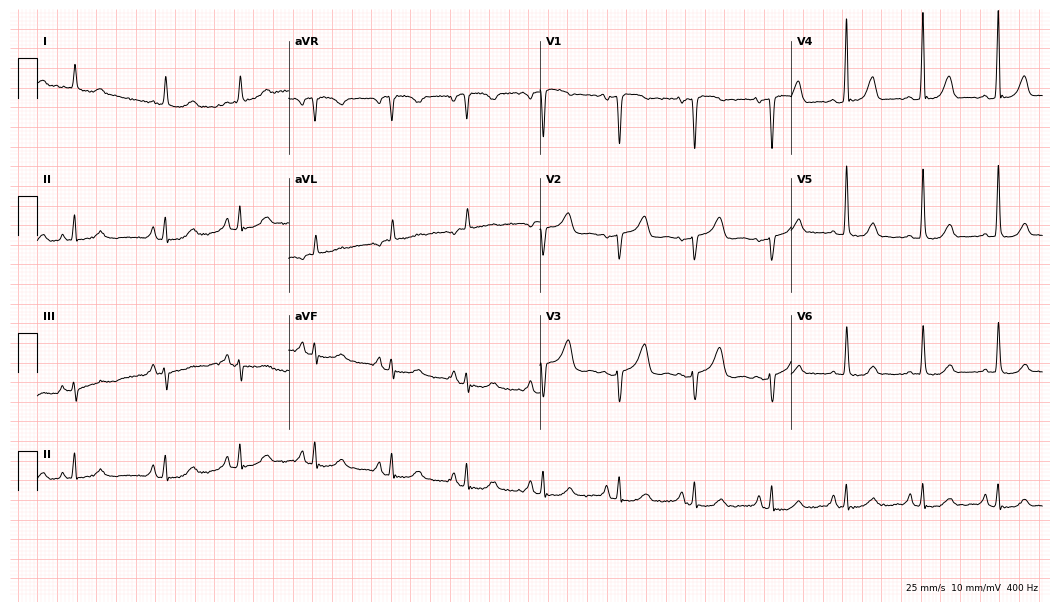
12-lead ECG (10.2-second recording at 400 Hz) from a female, 82 years old. Screened for six findings — first-degree AV block, right bundle branch block, left bundle branch block, sinus bradycardia, atrial fibrillation, sinus tachycardia — none is recorded. Other findings, if any, are not listed.